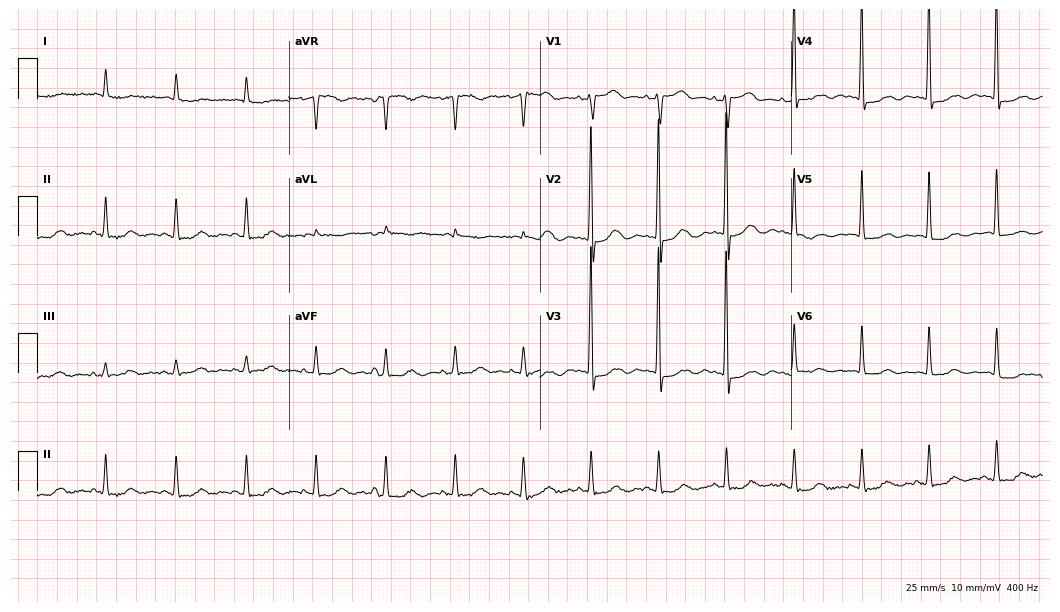
12-lead ECG from a woman, 81 years old. Screened for six findings — first-degree AV block, right bundle branch block, left bundle branch block, sinus bradycardia, atrial fibrillation, sinus tachycardia — none is recorded. Findings outside these six are not listed.